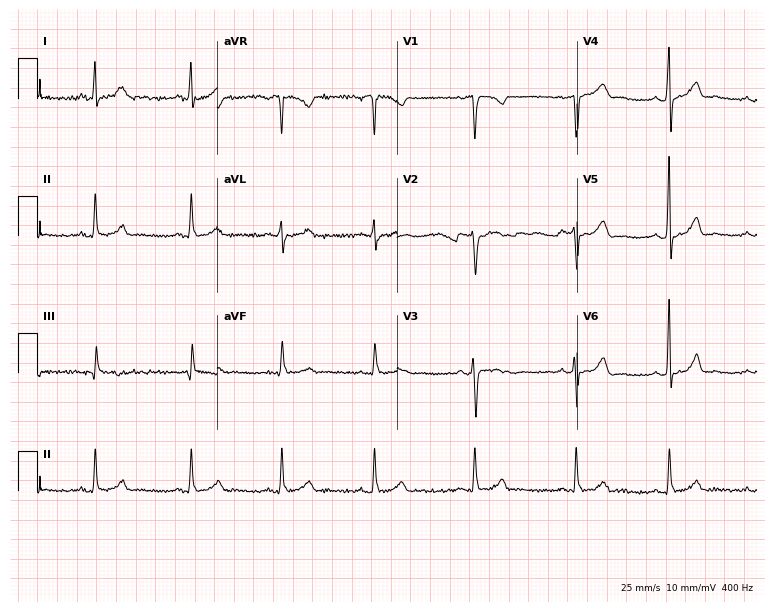
Resting 12-lead electrocardiogram (7.3-second recording at 400 Hz). Patient: a female, 40 years old. Read as a normal ECG.